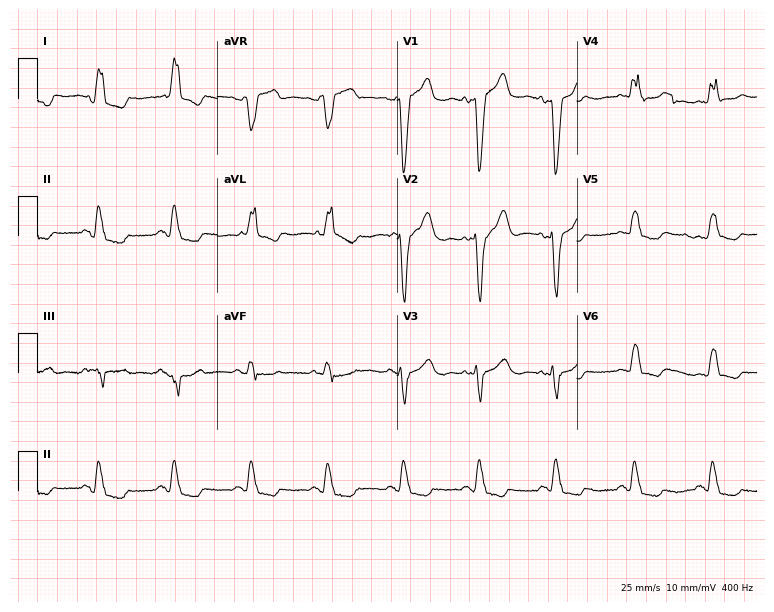
12-lead ECG from a woman, 76 years old (7.3-second recording at 400 Hz). Shows left bundle branch block.